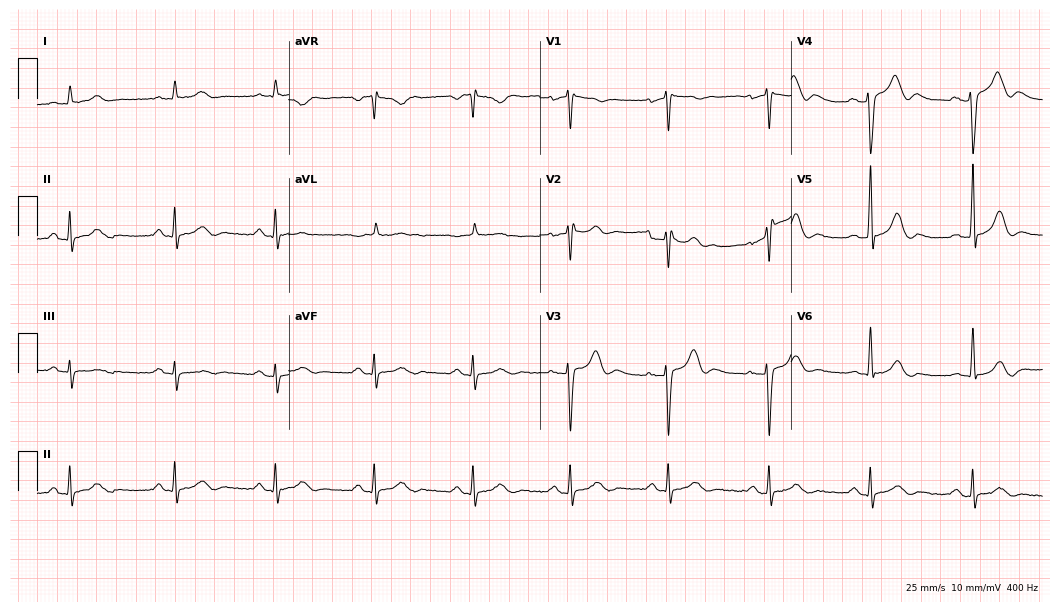
12-lead ECG from a male patient, 55 years old. Recorded interpretation: within normal limits.